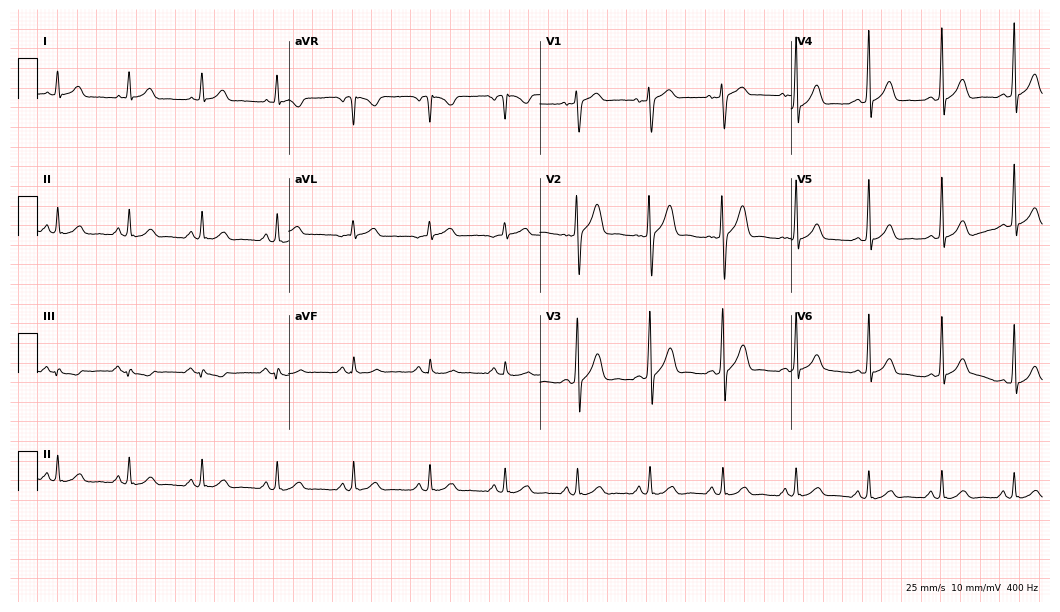
12-lead ECG from a male, 27 years old. Labelled as a normal ECG.